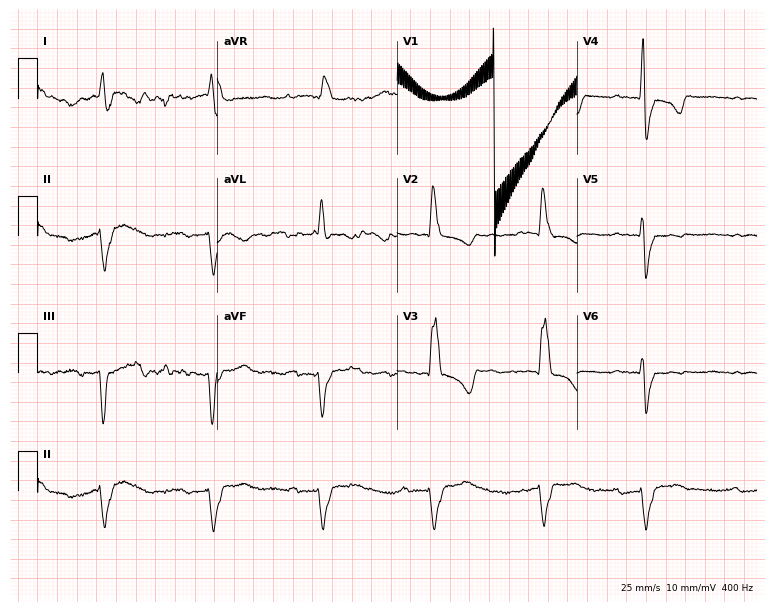
Standard 12-lead ECG recorded from a 71-year-old female patient (7.3-second recording at 400 Hz). None of these six findings is recorded: first-degree AV block, right bundle branch block (RBBB), left bundle branch block (LBBB), sinus bradycardia, atrial fibrillation (AF), sinus tachycardia.